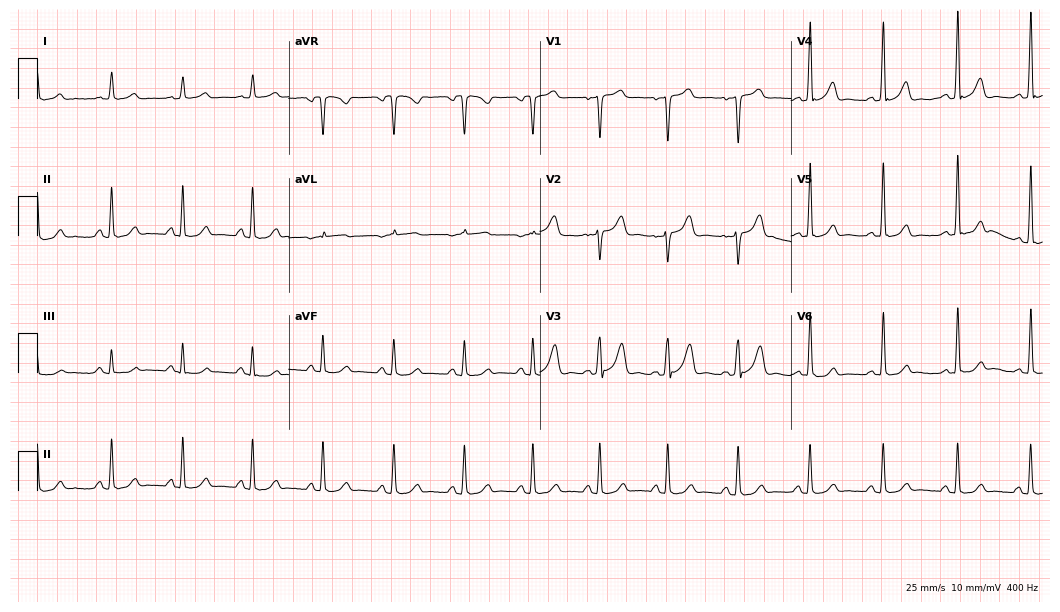
12-lead ECG from a 42-year-old female. Labelled as a normal ECG.